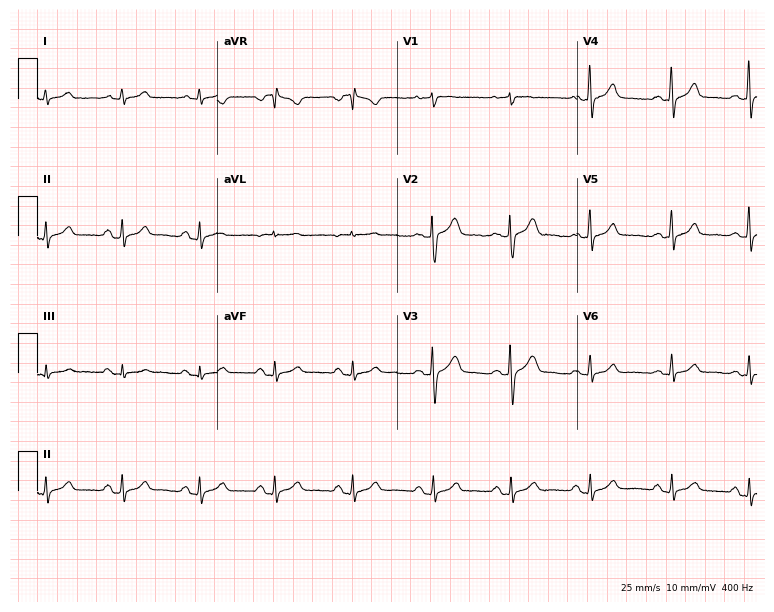
Resting 12-lead electrocardiogram (7.3-second recording at 400 Hz). Patient: a female, 35 years old. None of these six findings is recorded: first-degree AV block, right bundle branch block (RBBB), left bundle branch block (LBBB), sinus bradycardia, atrial fibrillation (AF), sinus tachycardia. Other findings, if any, are not listed.